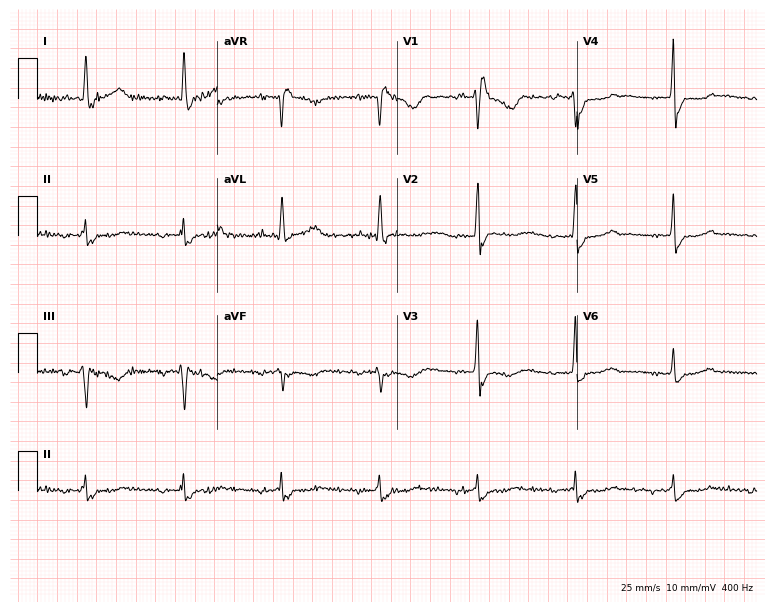
Resting 12-lead electrocardiogram (7.3-second recording at 400 Hz). Patient: a 67-year-old male. None of these six findings is recorded: first-degree AV block, right bundle branch block, left bundle branch block, sinus bradycardia, atrial fibrillation, sinus tachycardia. Findings outside these six are not listed.